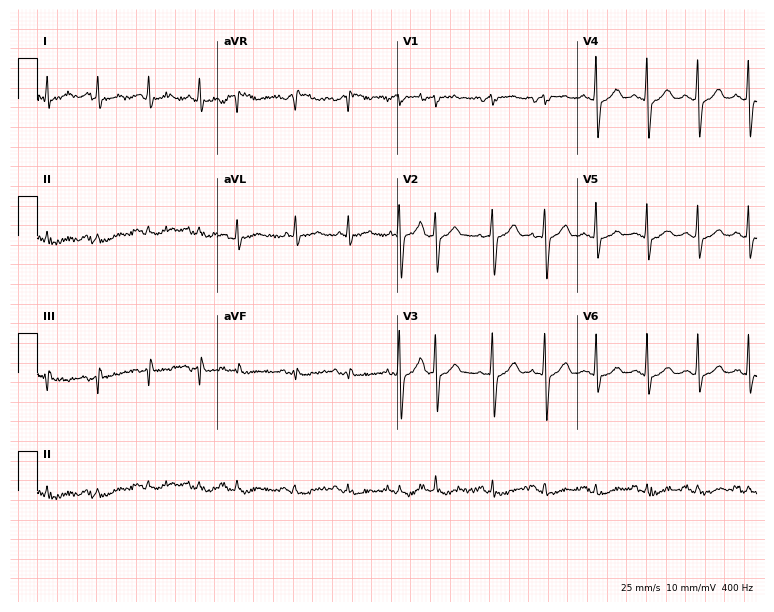
Standard 12-lead ECG recorded from a 66-year-old male (7.3-second recording at 400 Hz). The tracing shows sinus tachycardia (a sinus rate of 100 beats per minute or more).